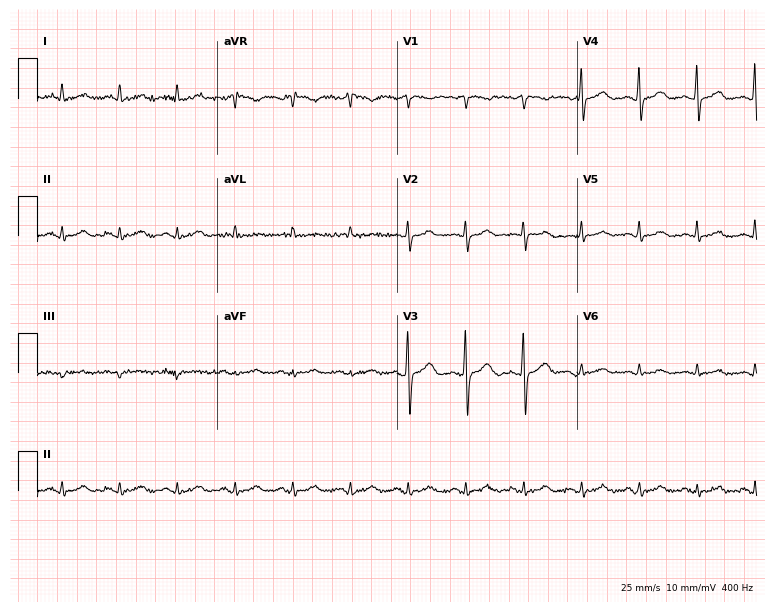
Resting 12-lead electrocardiogram (7.3-second recording at 400 Hz). Patient: a 46-year-old woman. The tracing shows sinus tachycardia (a sinus rate of 100 beats per minute or more).